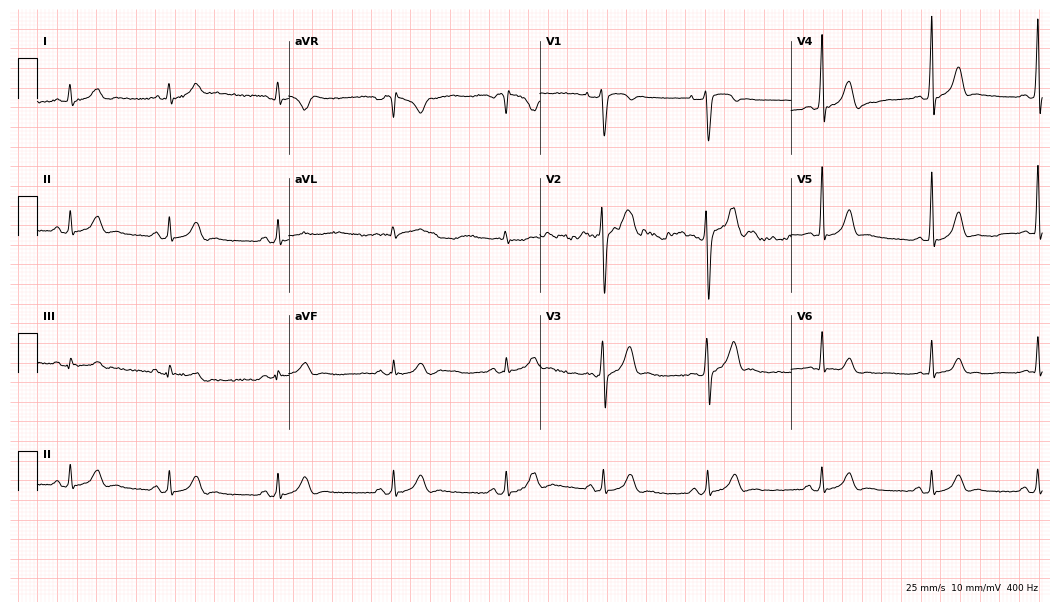
Resting 12-lead electrocardiogram. Patient: a 21-year-old man. Read as a normal ECG.